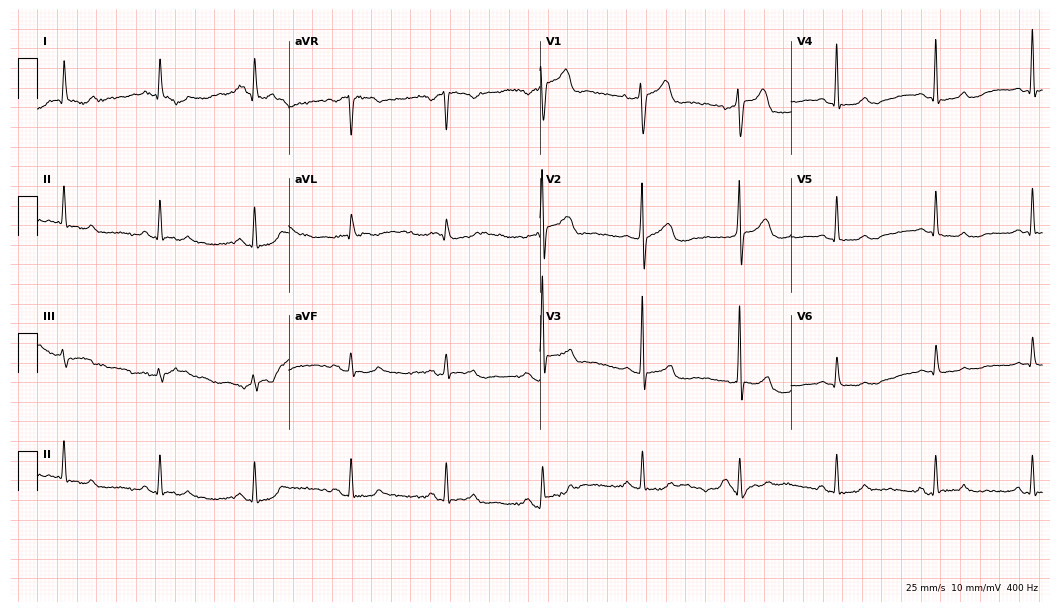
ECG — a 64-year-old man. Screened for six findings — first-degree AV block, right bundle branch block (RBBB), left bundle branch block (LBBB), sinus bradycardia, atrial fibrillation (AF), sinus tachycardia — none is recorded.